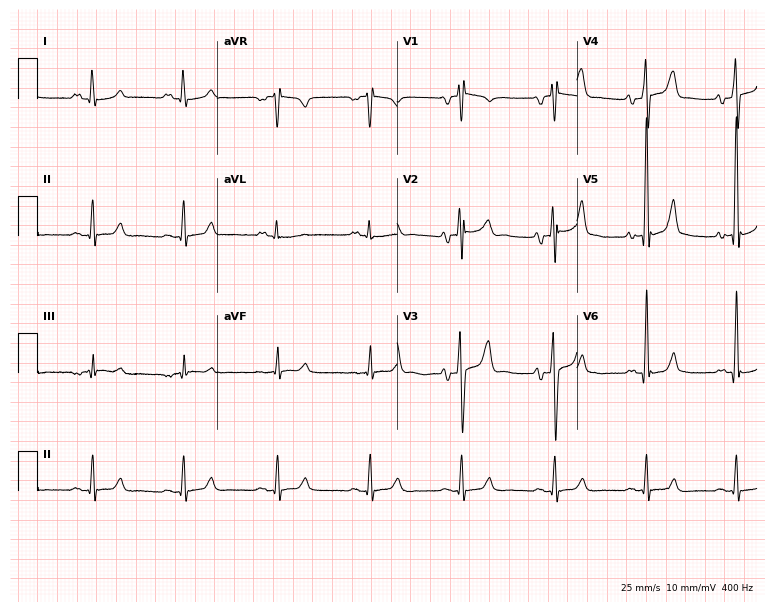
12-lead ECG from a man, 25 years old. Screened for six findings — first-degree AV block, right bundle branch block, left bundle branch block, sinus bradycardia, atrial fibrillation, sinus tachycardia — none is recorded. Findings outside these six are not listed.